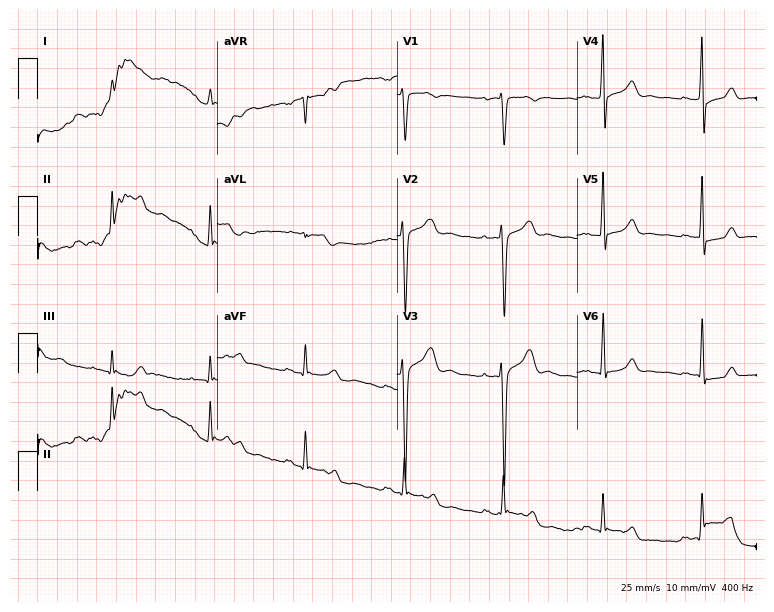
Electrocardiogram, a male, 43 years old. Of the six screened findings (first-degree AV block, right bundle branch block (RBBB), left bundle branch block (LBBB), sinus bradycardia, atrial fibrillation (AF), sinus tachycardia), none is recorded.